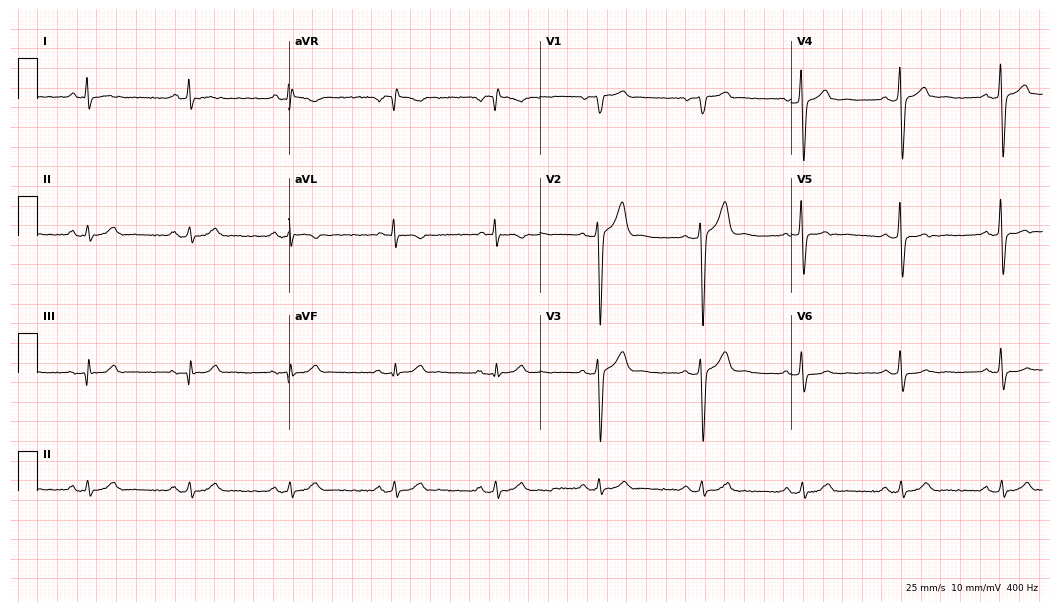
Electrocardiogram (10.2-second recording at 400 Hz), a 34-year-old male patient. Of the six screened findings (first-degree AV block, right bundle branch block (RBBB), left bundle branch block (LBBB), sinus bradycardia, atrial fibrillation (AF), sinus tachycardia), none is recorded.